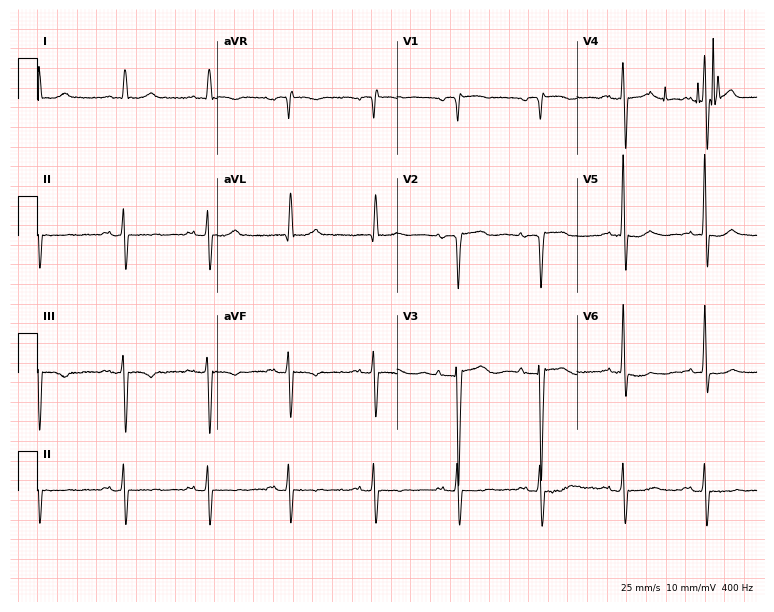
12-lead ECG from an 81-year-old female patient. No first-degree AV block, right bundle branch block, left bundle branch block, sinus bradycardia, atrial fibrillation or sinus tachycardia recorded for this tracing.